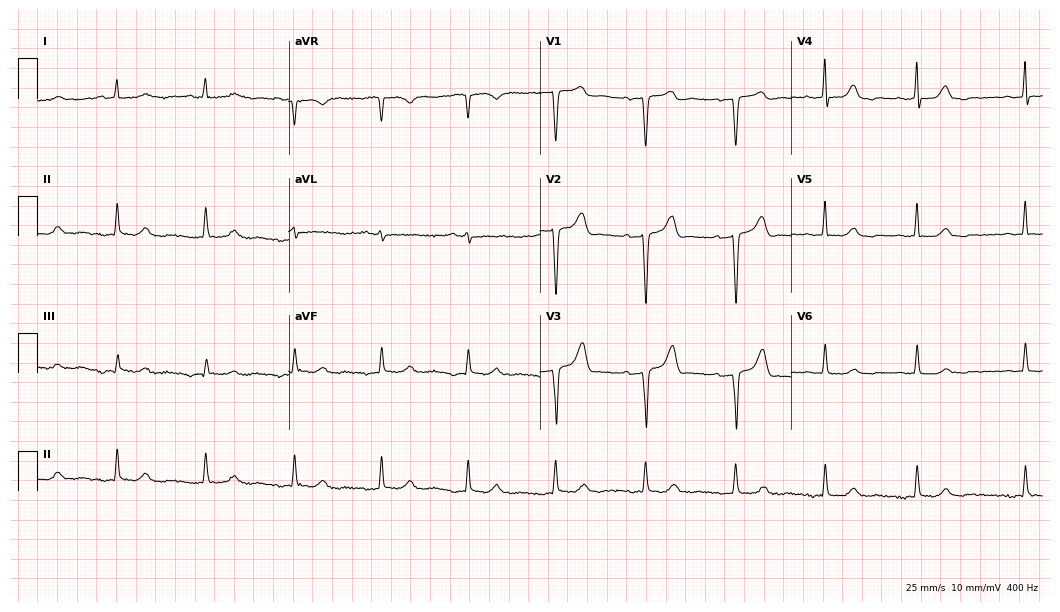
12-lead ECG from a woman, 72 years old. Recorded interpretation: within normal limits.